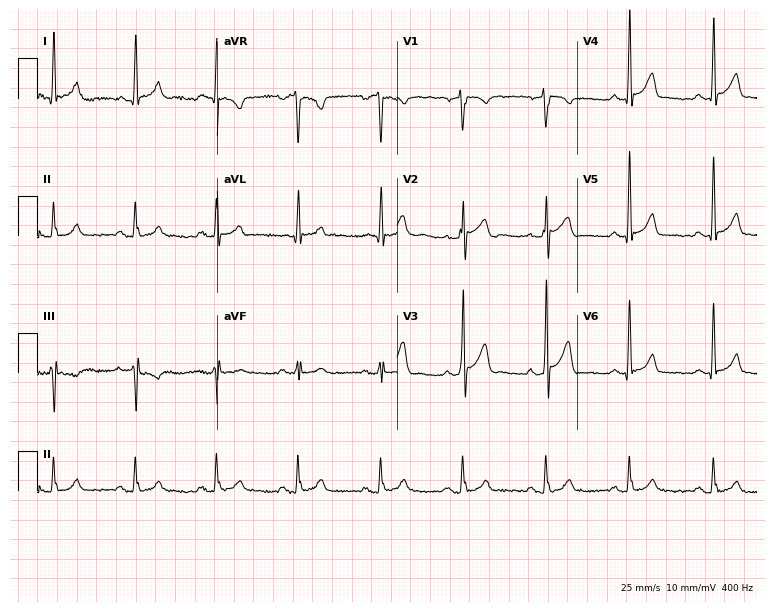
Standard 12-lead ECG recorded from a male, 55 years old (7.3-second recording at 400 Hz). Read as a normal ECG.